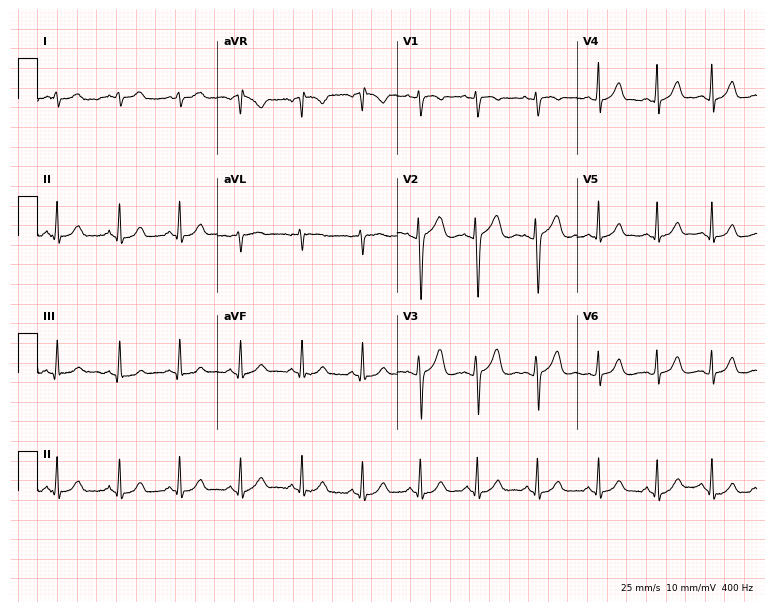
ECG (7.3-second recording at 400 Hz) — a 28-year-old female patient. Screened for six findings — first-degree AV block, right bundle branch block, left bundle branch block, sinus bradycardia, atrial fibrillation, sinus tachycardia — none is recorded.